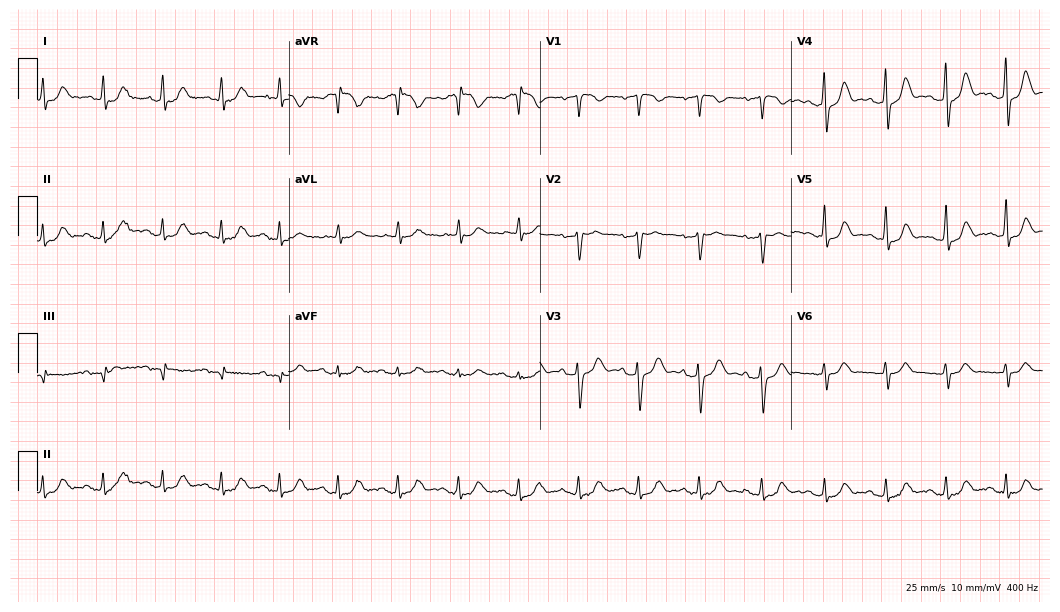
ECG (10.2-second recording at 400 Hz) — a male, 56 years old. Labelled as a normal ECG.